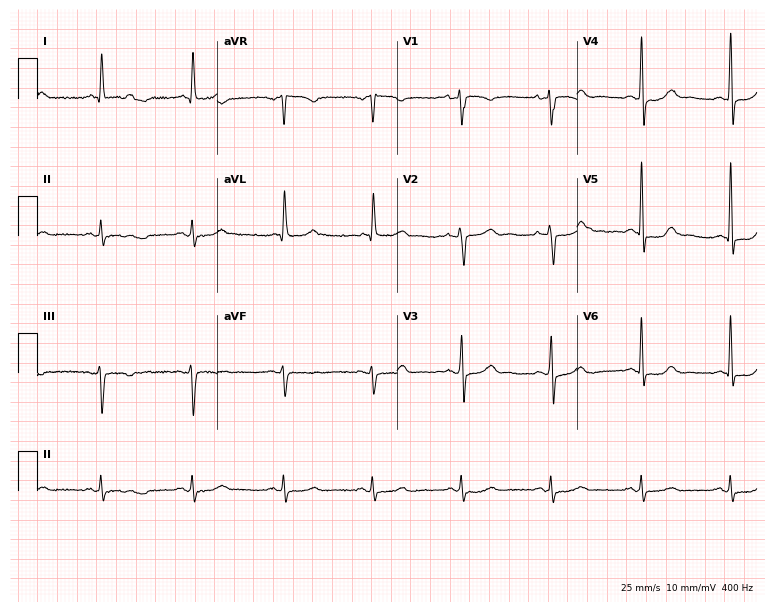
Electrocardiogram, a 77-year-old female patient. Of the six screened findings (first-degree AV block, right bundle branch block, left bundle branch block, sinus bradycardia, atrial fibrillation, sinus tachycardia), none is recorded.